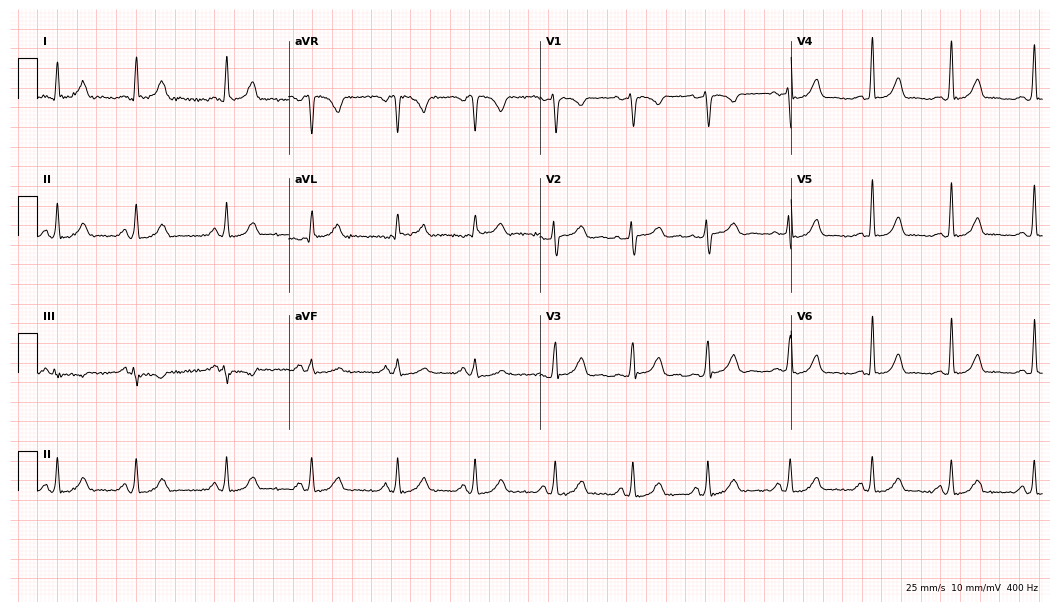
Resting 12-lead electrocardiogram (10.2-second recording at 400 Hz). Patient: a female, 36 years old. Read as a normal ECG.